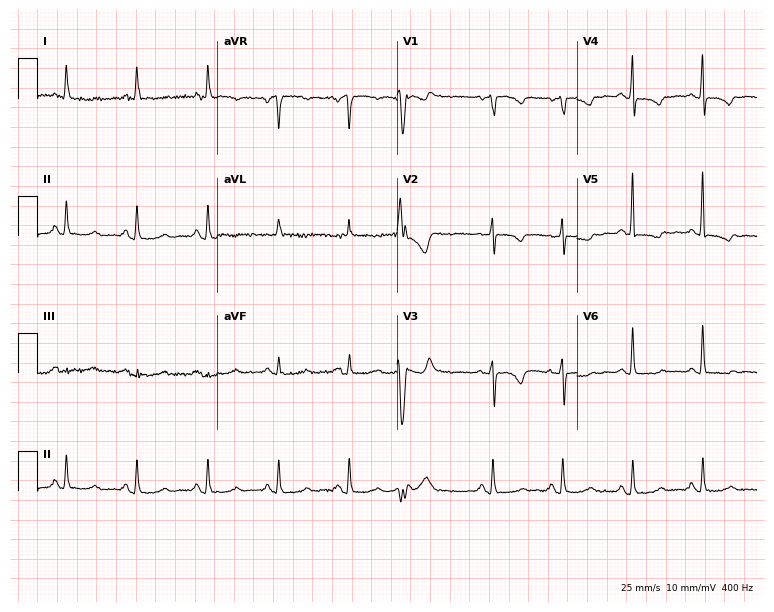
Standard 12-lead ECG recorded from a female, 79 years old (7.3-second recording at 400 Hz). Read as a normal ECG.